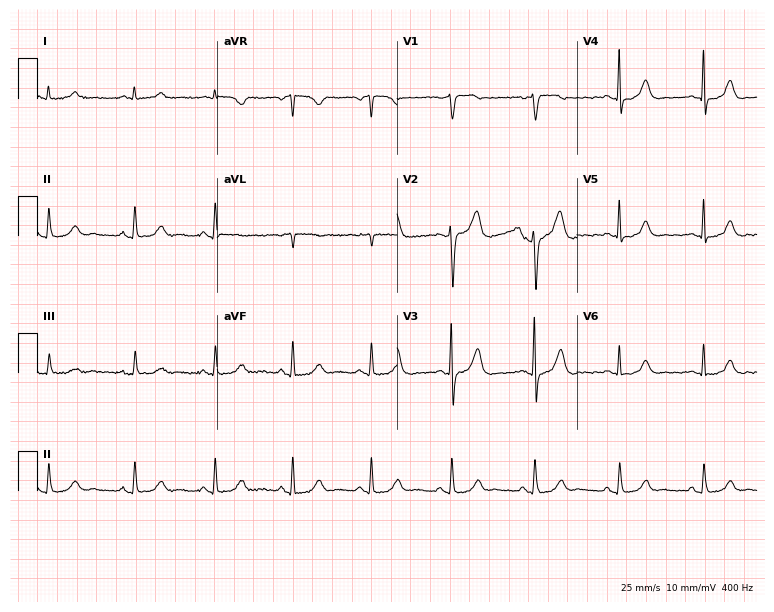
Resting 12-lead electrocardiogram (7.3-second recording at 400 Hz). Patient: a 44-year-old woman. Read as a normal ECG.